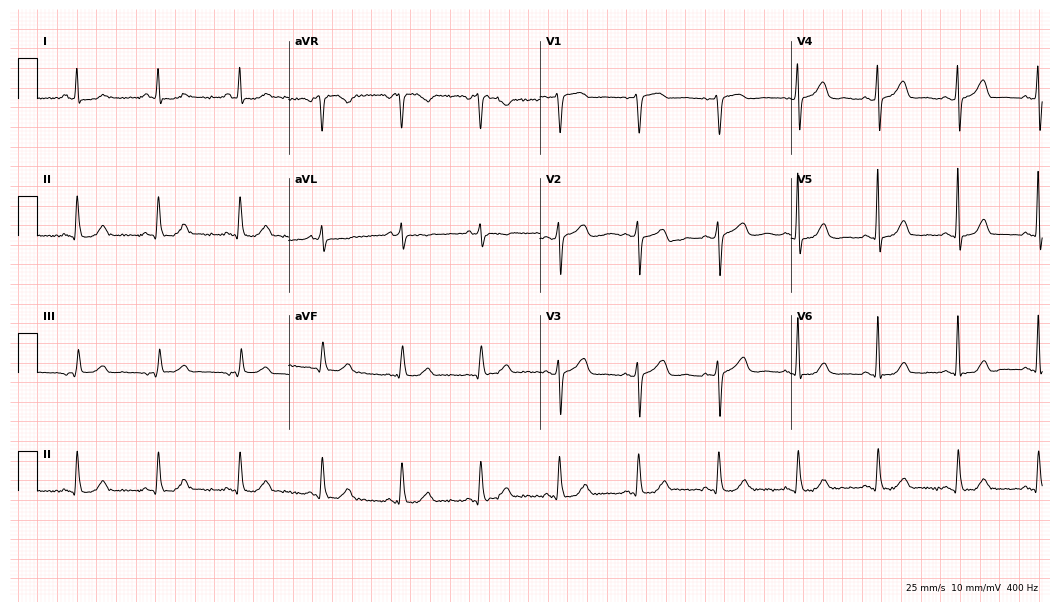
Standard 12-lead ECG recorded from a 62-year-old female patient (10.2-second recording at 400 Hz). Read as a normal ECG.